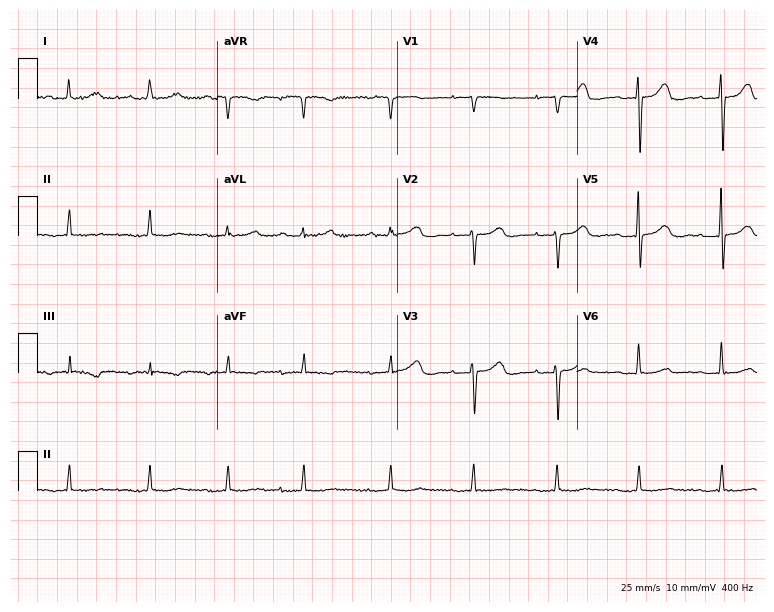
ECG — a female patient, 70 years old. Screened for six findings — first-degree AV block, right bundle branch block (RBBB), left bundle branch block (LBBB), sinus bradycardia, atrial fibrillation (AF), sinus tachycardia — none is recorded.